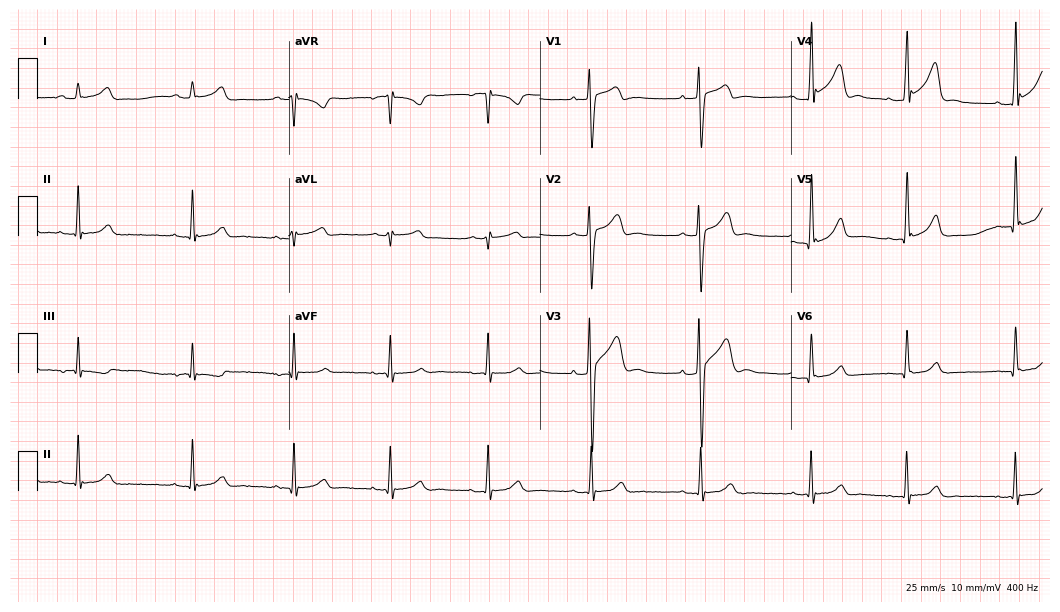
Standard 12-lead ECG recorded from a male patient, 33 years old. None of these six findings is recorded: first-degree AV block, right bundle branch block (RBBB), left bundle branch block (LBBB), sinus bradycardia, atrial fibrillation (AF), sinus tachycardia.